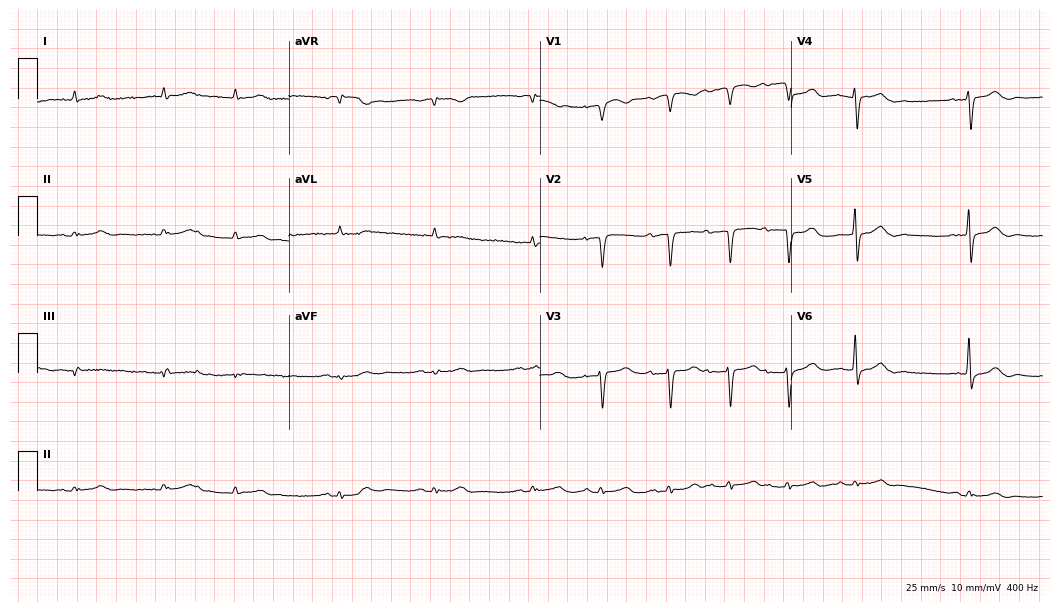
Standard 12-lead ECG recorded from a man, 86 years old. None of these six findings is recorded: first-degree AV block, right bundle branch block, left bundle branch block, sinus bradycardia, atrial fibrillation, sinus tachycardia.